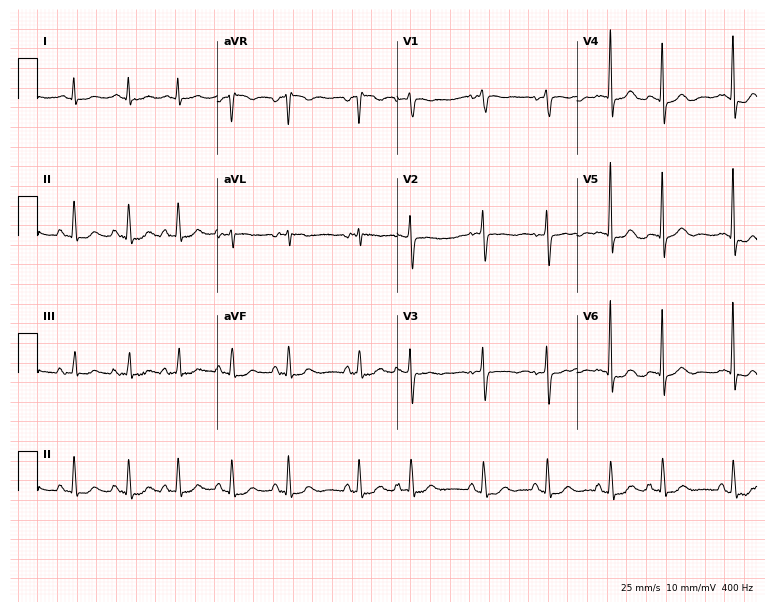
12-lead ECG from an 85-year-old woman (7.3-second recording at 400 Hz). No first-degree AV block, right bundle branch block (RBBB), left bundle branch block (LBBB), sinus bradycardia, atrial fibrillation (AF) or sinus tachycardia recorded for this tracing.